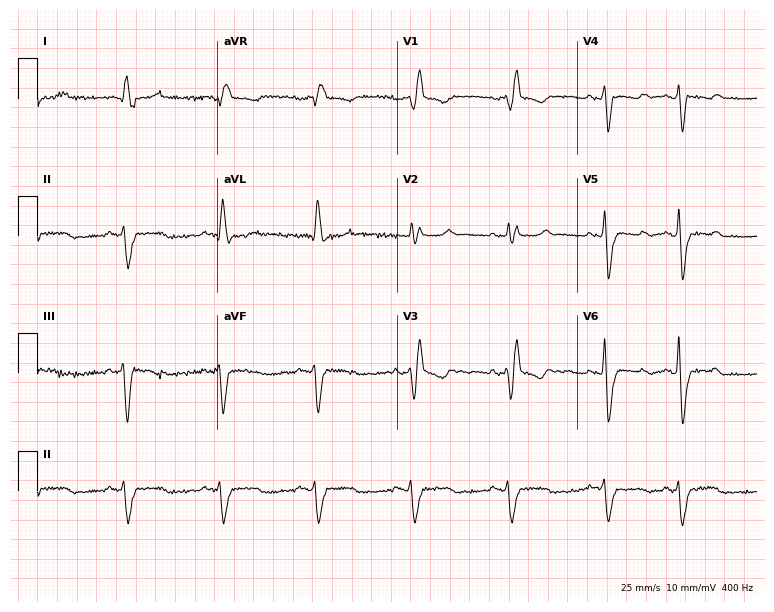
Resting 12-lead electrocardiogram. Patient: a male, 84 years old. The tracing shows right bundle branch block.